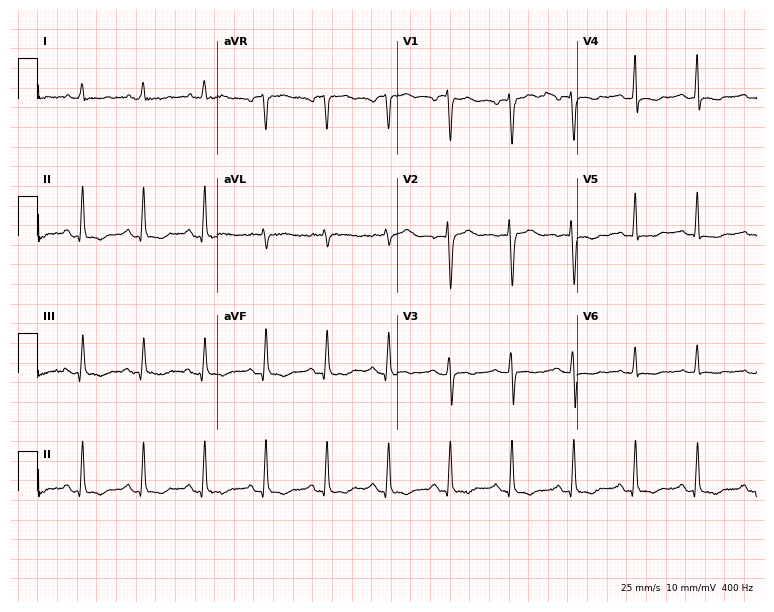
Resting 12-lead electrocardiogram (7.3-second recording at 400 Hz). Patient: a 55-year-old female. None of these six findings is recorded: first-degree AV block, right bundle branch block, left bundle branch block, sinus bradycardia, atrial fibrillation, sinus tachycardia.